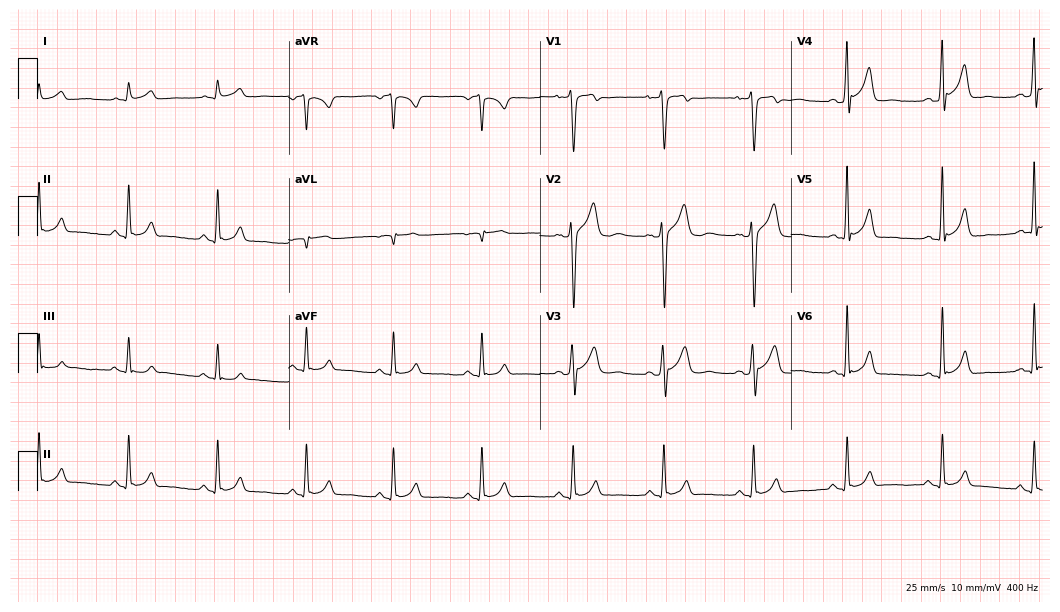
12-lead ECG from a male patient, 32 years old. Labelled as a normal ECG.